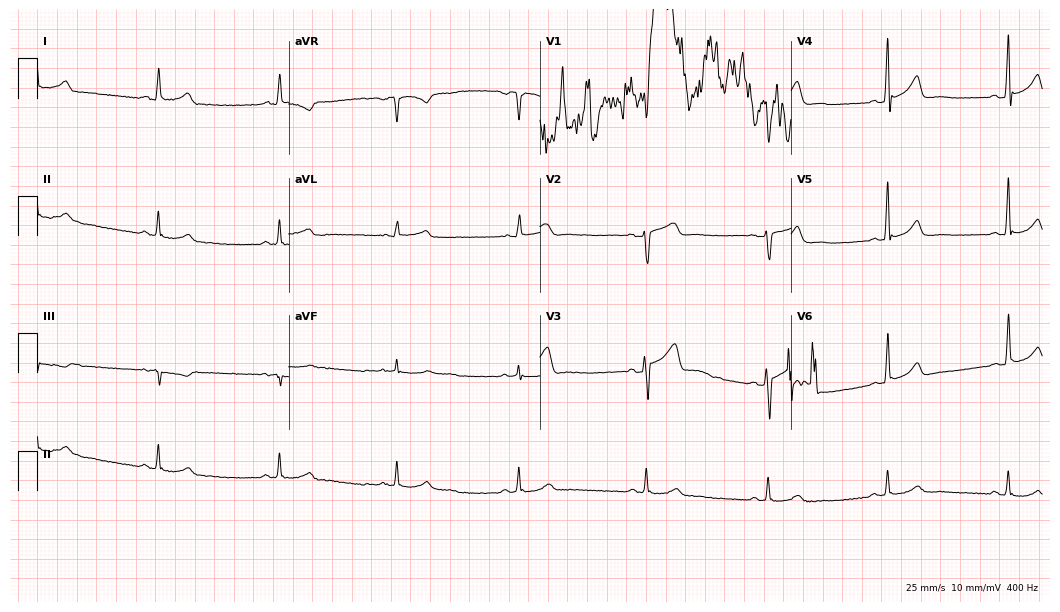
12-lead ECG from a 43-year-old male (10.2-second recording at 400 Hz). No first-degree AV block, right bundle branch block (RBBB), left bundle branch block (LBBB), sinus bradycardia, atrial fibrillation (AF) or sinus tachycardia recorded for this tracing.